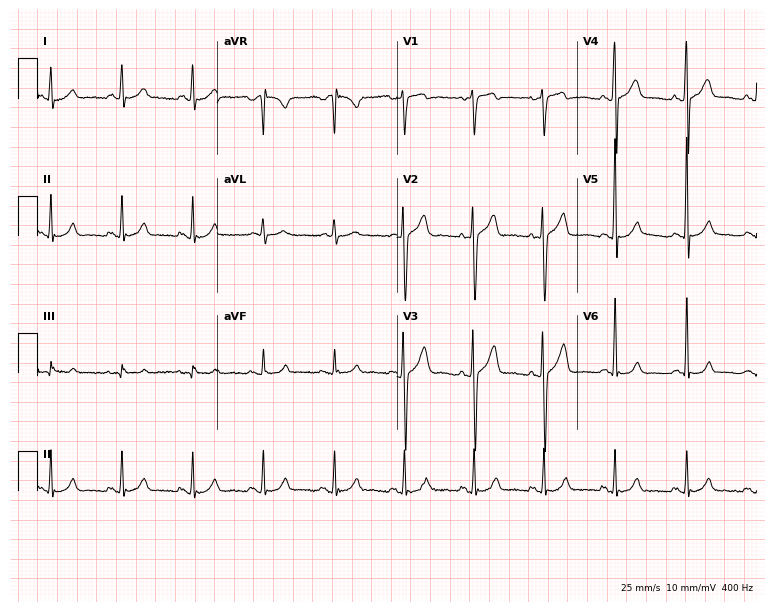
12-lead ECG from a male patient, 49 years old (7.3-second recording at 400 Hz). Recorded interpretation: within normal limits.